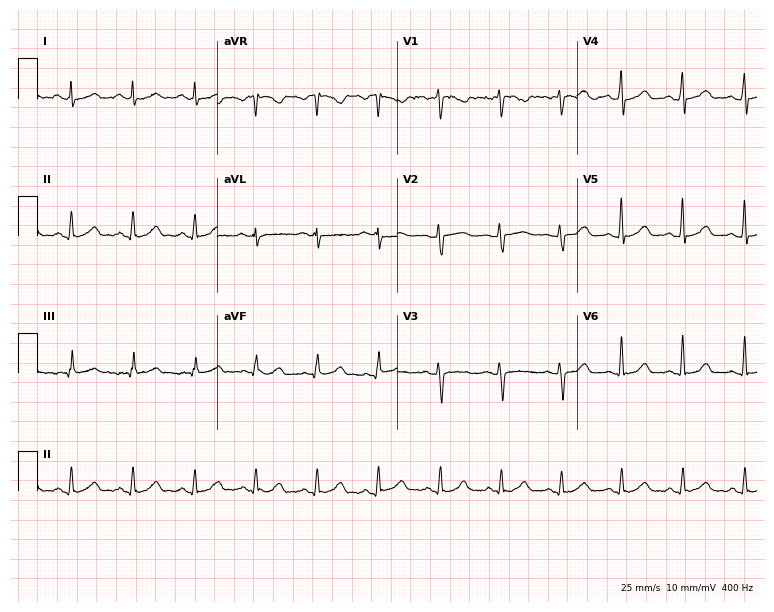
ECG — a female, 37 years old. Labelled as a normal ECG.